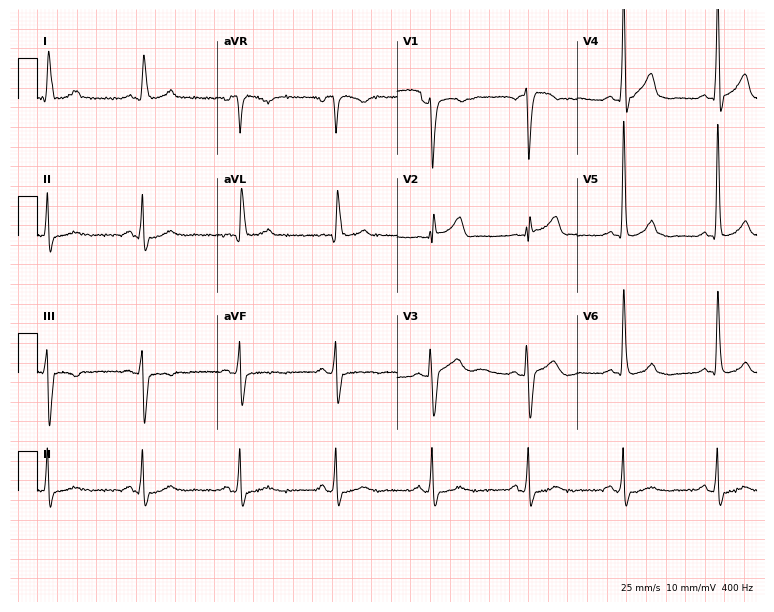
12-lead ECG (7.3-second recording at 400 Hz) from an 83-year-old man. Screened for six findings — first-degree AV block, right bundle branch block (RBBB), left bundle branch block (LBBB), sinus bradycardia, atrial fibrillation (AF), sinus tachycardia — none is recorded.